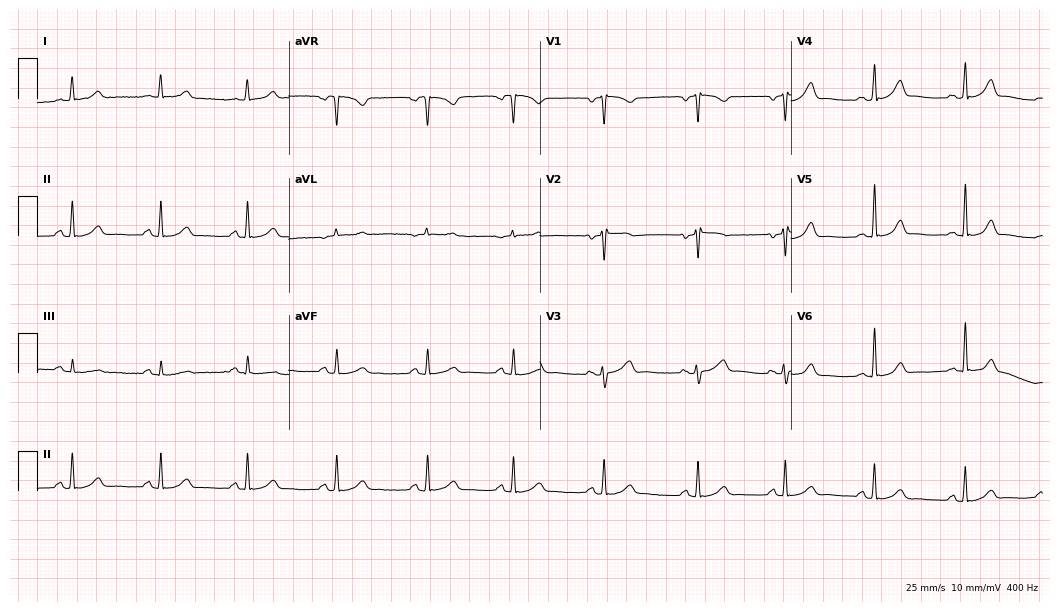
12-lead ECG from a female, 37 years old. Labelled as a normal ECG.